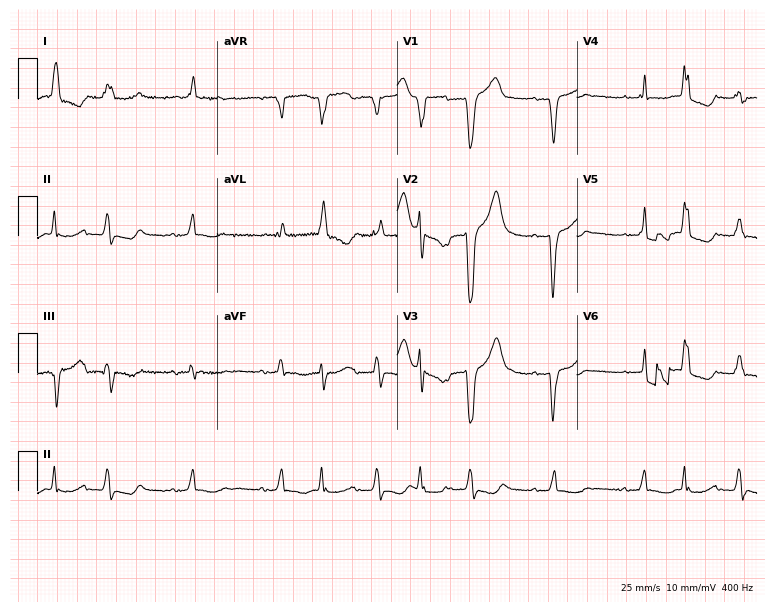
12-lead ECG from a female patient, 80 years old. Findings include atrial fibrillation.